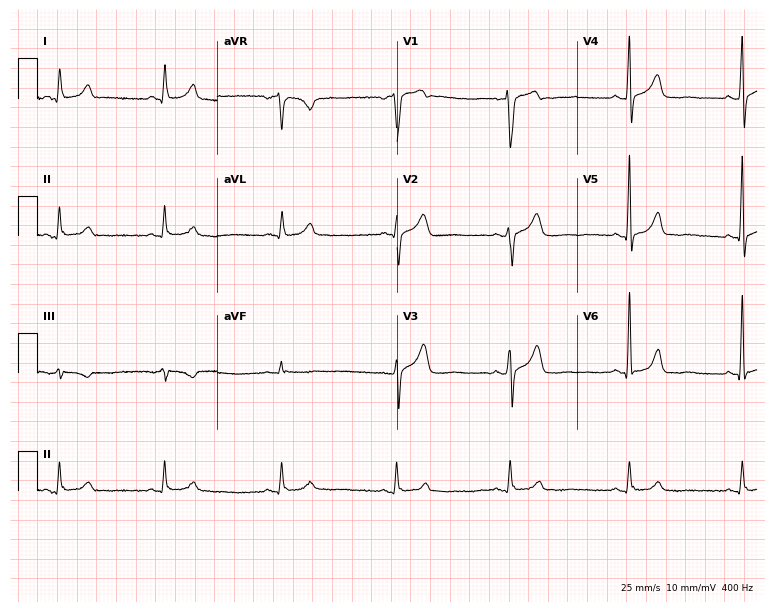
12-lead ECG from a man, 45 years old. Labelled as a normal ECG.